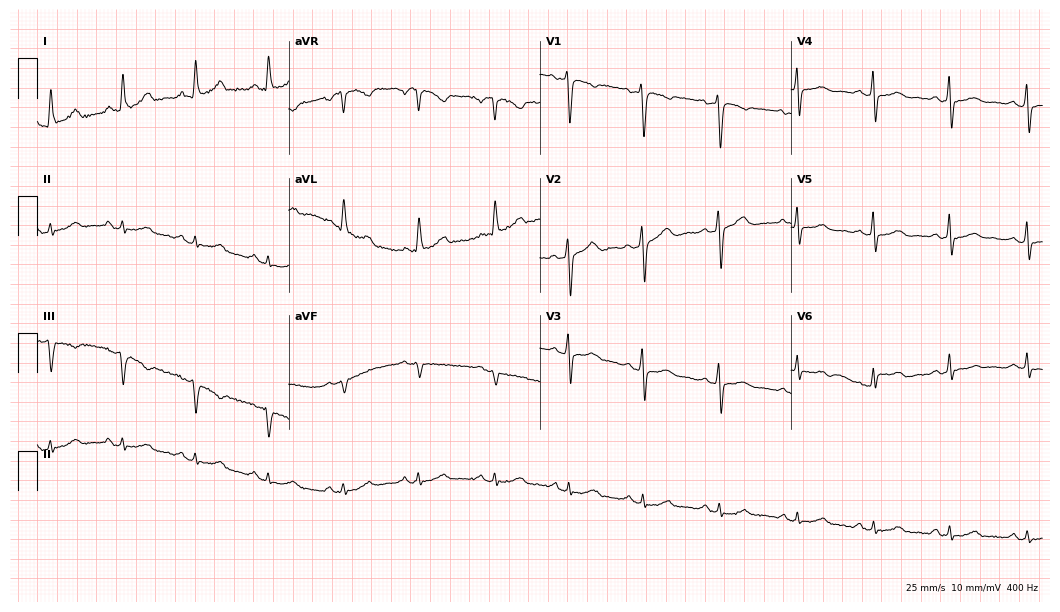
Standard 12-lead ECG recorded from a 66-year-old female patient. Read as a normal ECG.